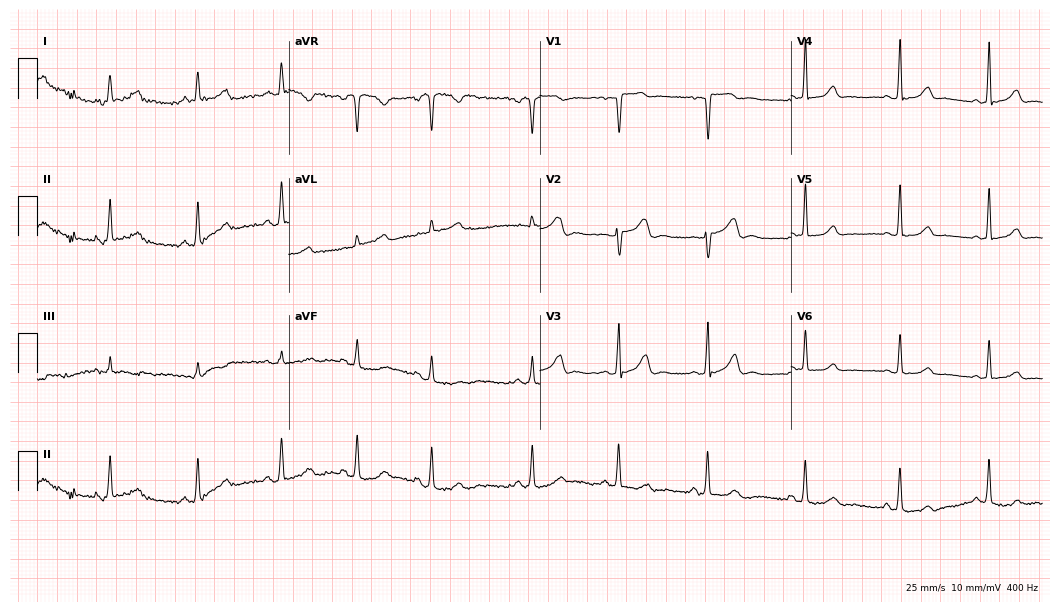
Resting 12-lead electrocardiogram (10.2-second recording at 400 Hz). Patient: a 27-year-old woman. Read as a normal ECG.